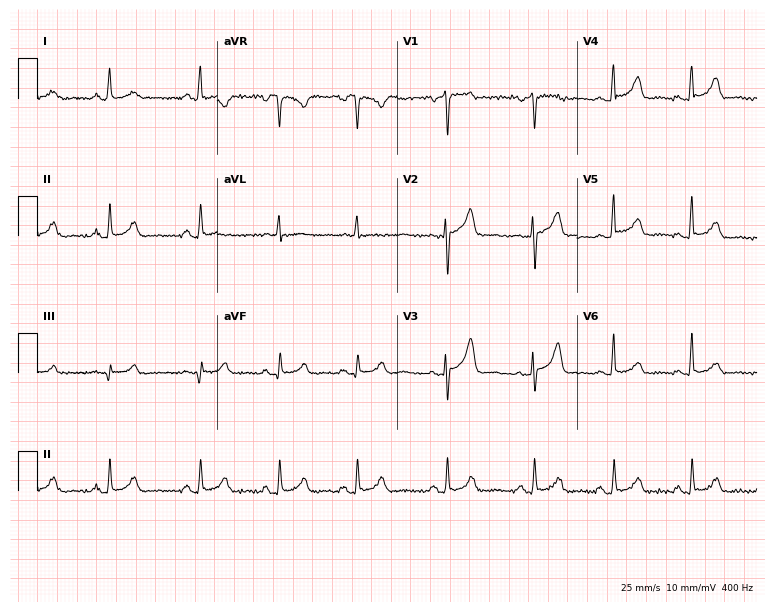
Resting 12-lead electrocardiogram. Patient: a 59-year-old female. Read as a normal ECG.